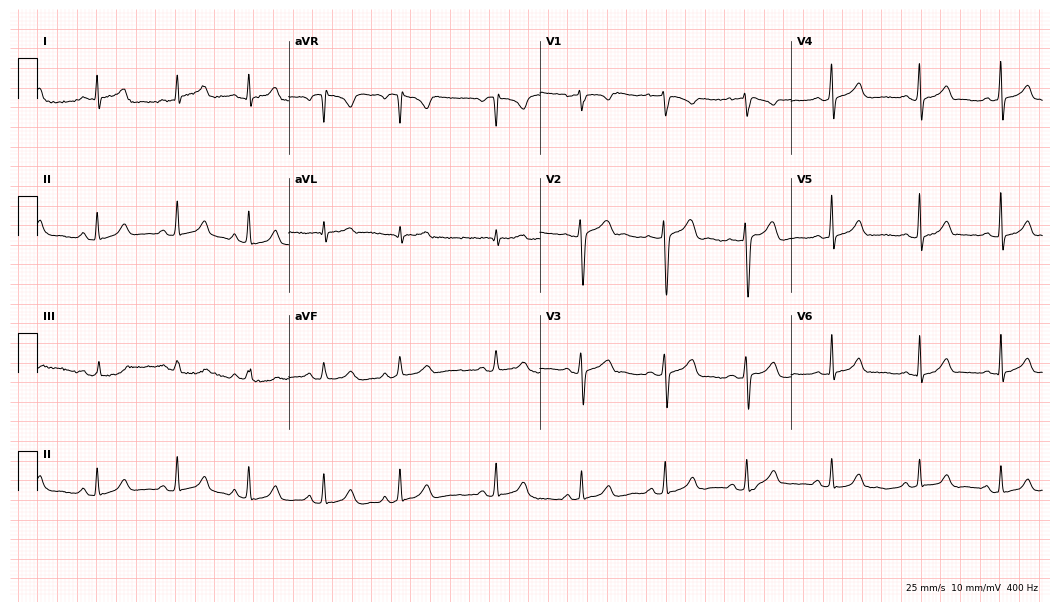
ECG (10.2-second recording at 400 Hz) — a man, 38 years old. Labelled as a normal ECG.